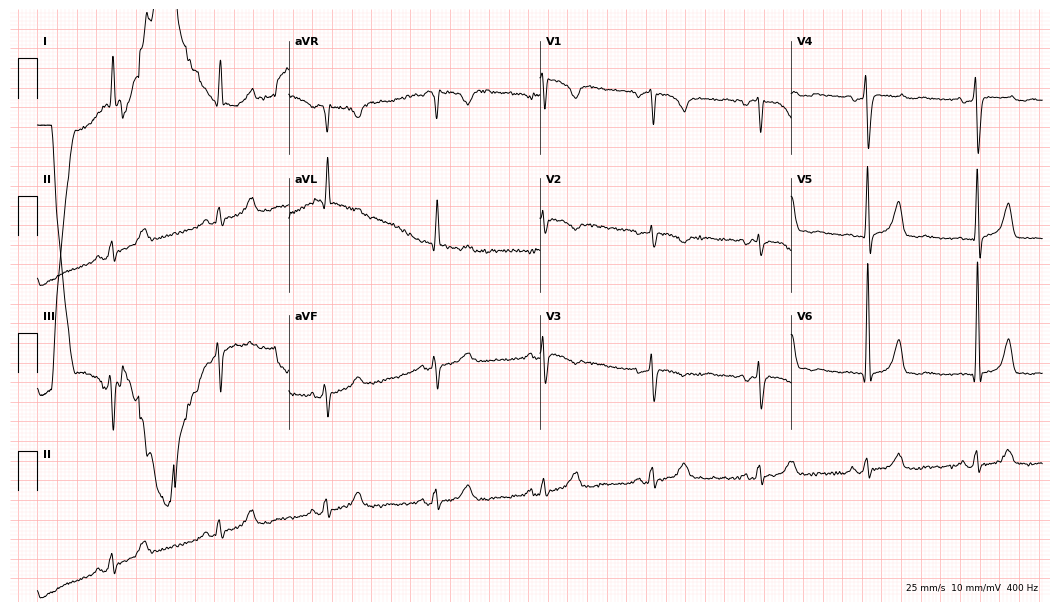
Standard 12-lead ECG recorded from an 82-year-old woman. Read as a normal ECG.